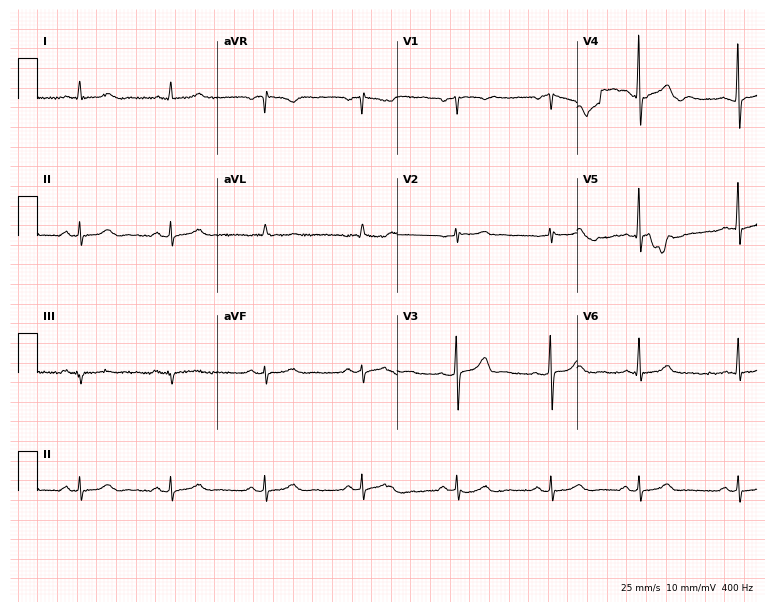
12-lead ECG from a male patient, 62 years old (7.3-second recording at 400 Hz). No first-degree AV block, right bundle branch block (RBBB), left bundle branch block (LBBB), sinus bradycardia, atrial fibrillation (AF) or sinus tachycardia recorded for this tracing.